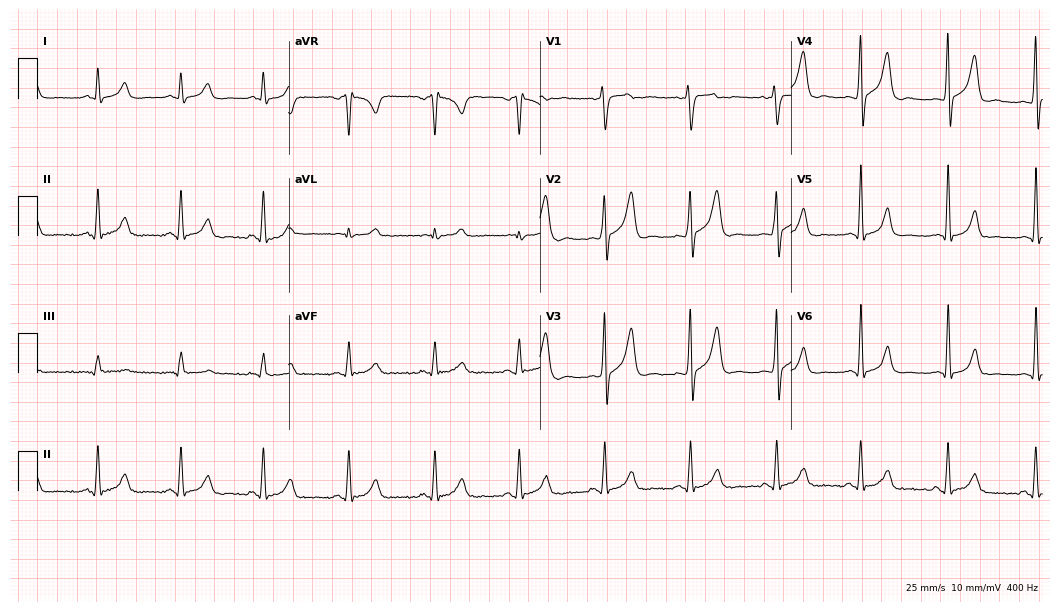
12-lead ECG from a man, 31 years old. Labelled as a normal ECG.